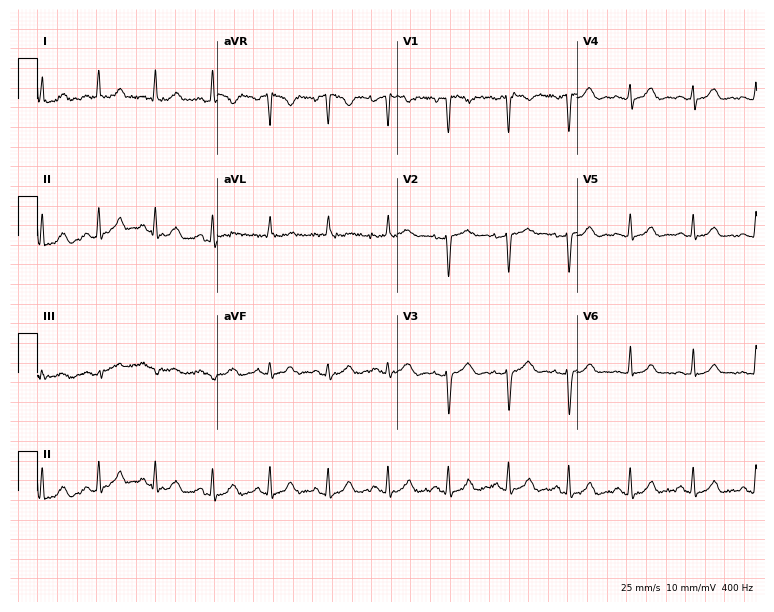
Resting 12-lead electrocardiogram (7.3-second recording at 400 Hz). Patient: a 38-year-old woman. None of these six findings is recorded: first-degree AV block, right bundle branch block, left bundle branch block, sinus bradycardia, atrial fibrillation, sinus tachycardia. Only these six findings were labelled.